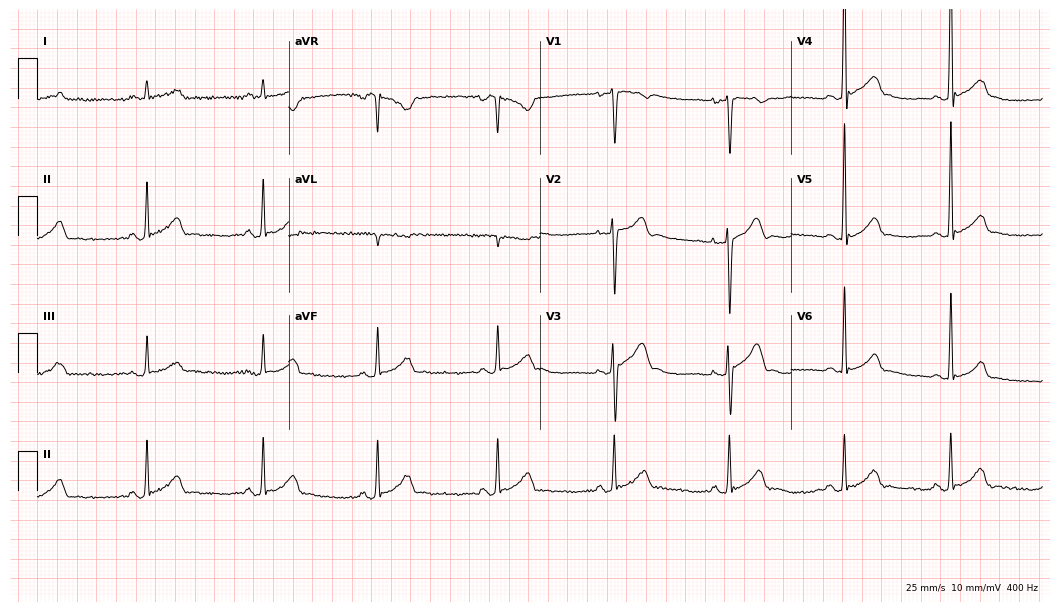
ECG — a male patient, 17 years old. Labelled as a normal ECG.